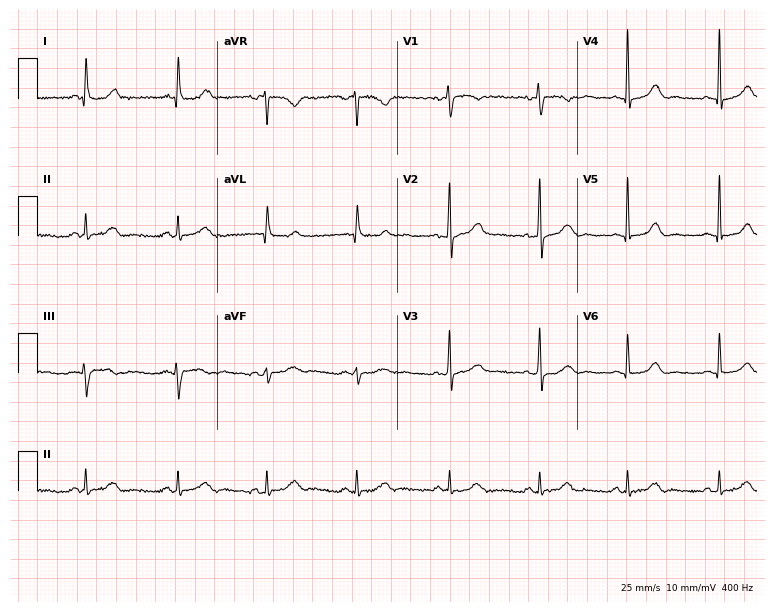
Standard 12-lead ECG recorded from a woman, 57 years old (7.3-second recording at 400 Hz). Read as a normal ECG.